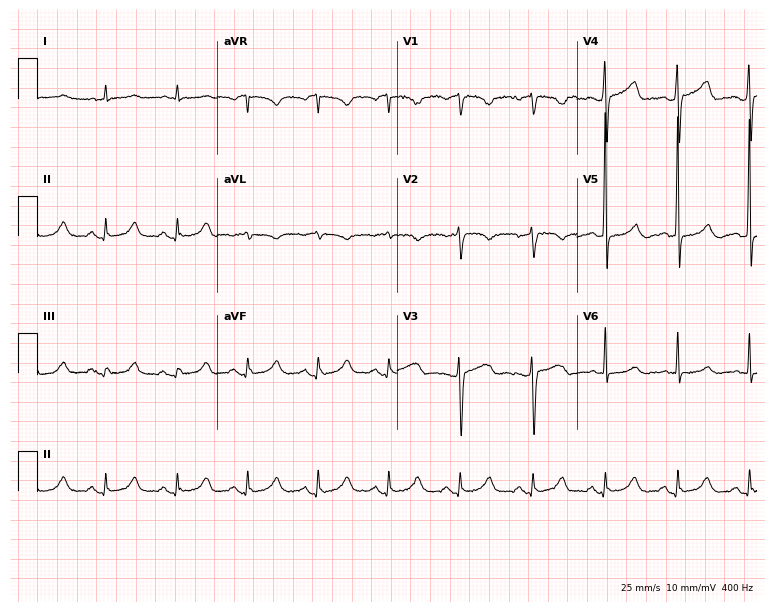
Resting 12-lead electrocardiogram. Patient: a 66-year-old male. None of these six findings is recorded: first-degree AV block, right bundle branch block, left bundle branch block, sinus bradycardia, atrial fibrillation, sinus tachycardia.